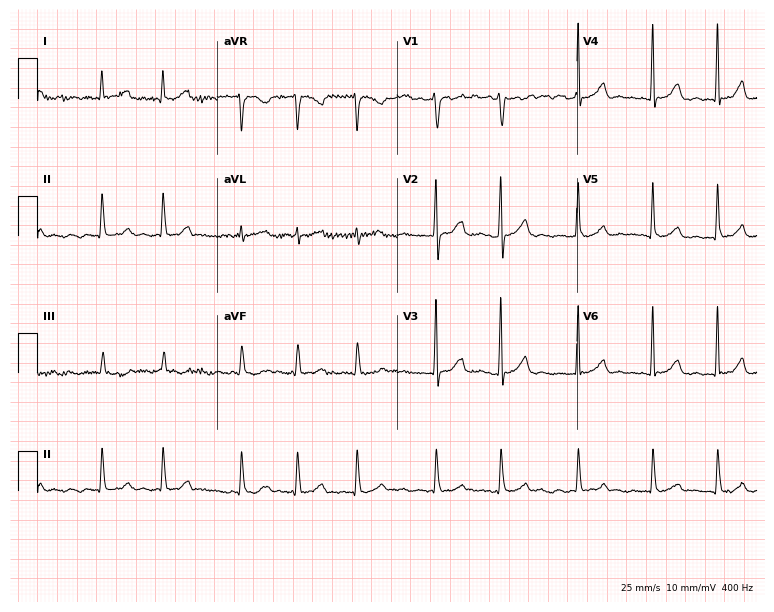
Standard 12-lead ECG recorded from a female patient, 71 years old. The tracing shows atrial fibrillation (AF).